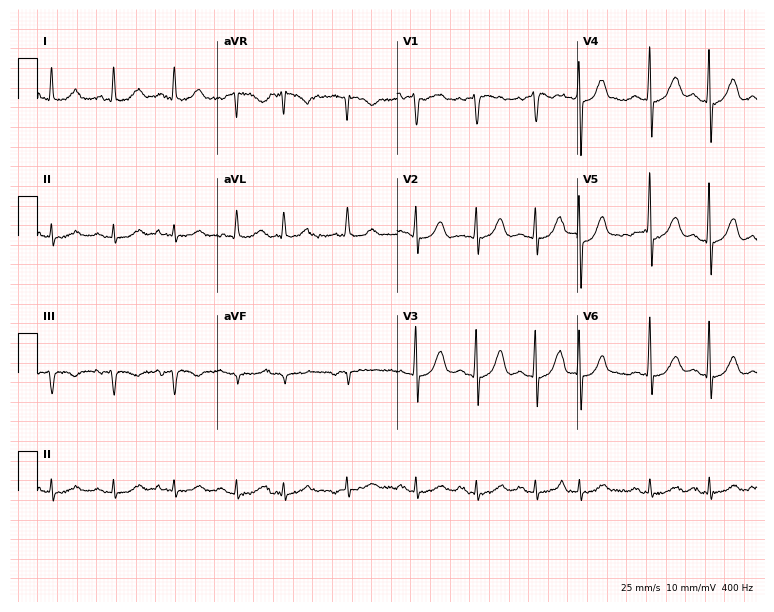
ECG (7.3-second recording at 400 Hz) — a male, 82 years old. Screened for six findings — first-degree AV block, right bundle branch block, left bundle branch block, sinus bradycardia, atrial fibrillation, sinus tachycardia — none is recorded. Findings outside these six are not listed.